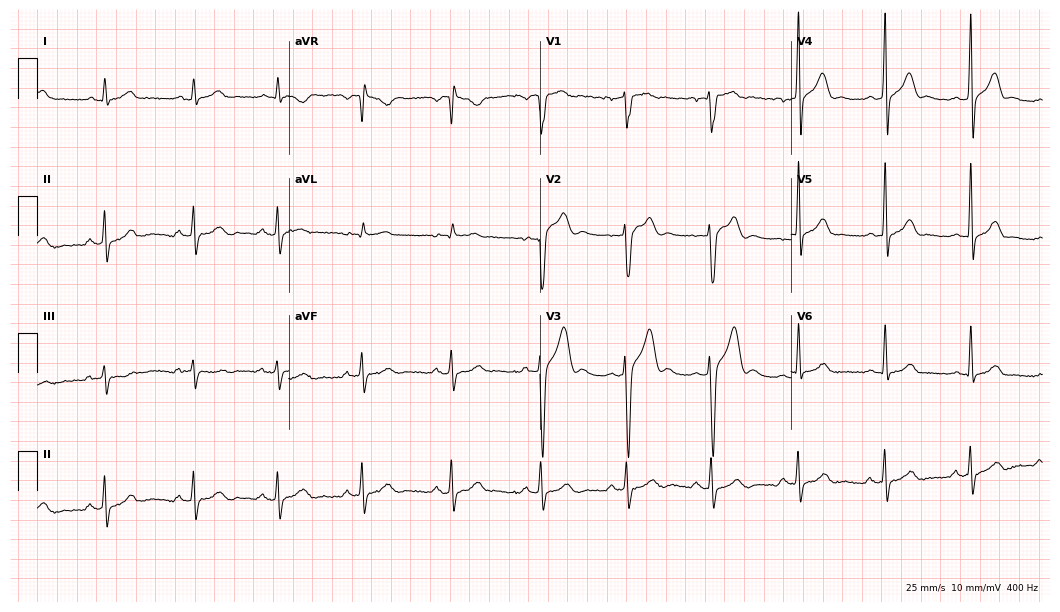
Electrocardiogram, a 30-year-old male. Overall reading on record: normal ECG.